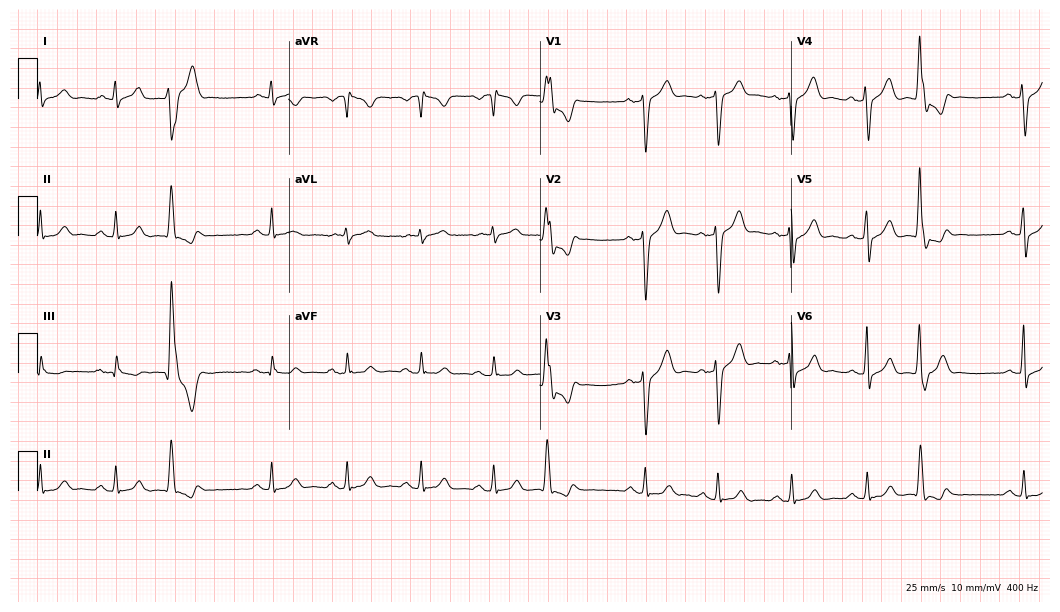
Standard 12-lead ECG recorded from a male patient, 35 years old (10.2-second recording at 400 Hz). None of these six findings is recorded: first-degree AV block, right bundle branch block, left bundle branch block, sinus bradycardia, atrial fibrillation, sinus tachycardia. Only these six findings were labelled.